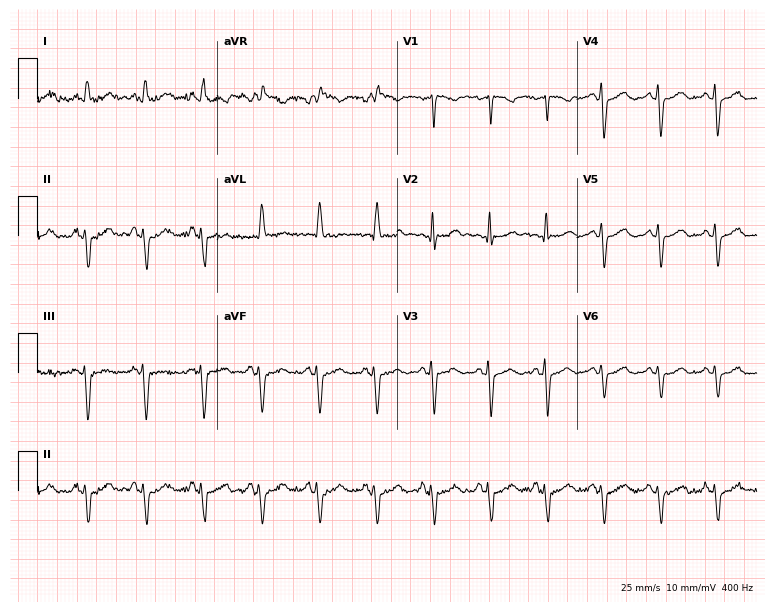
Standard 12-lead ECG recorded from a 63-year-old female patient (7.3-second recording at 400 Hz). The tracing shows sinus tachycardia (a sinus rate of 100 beats per minute or more).